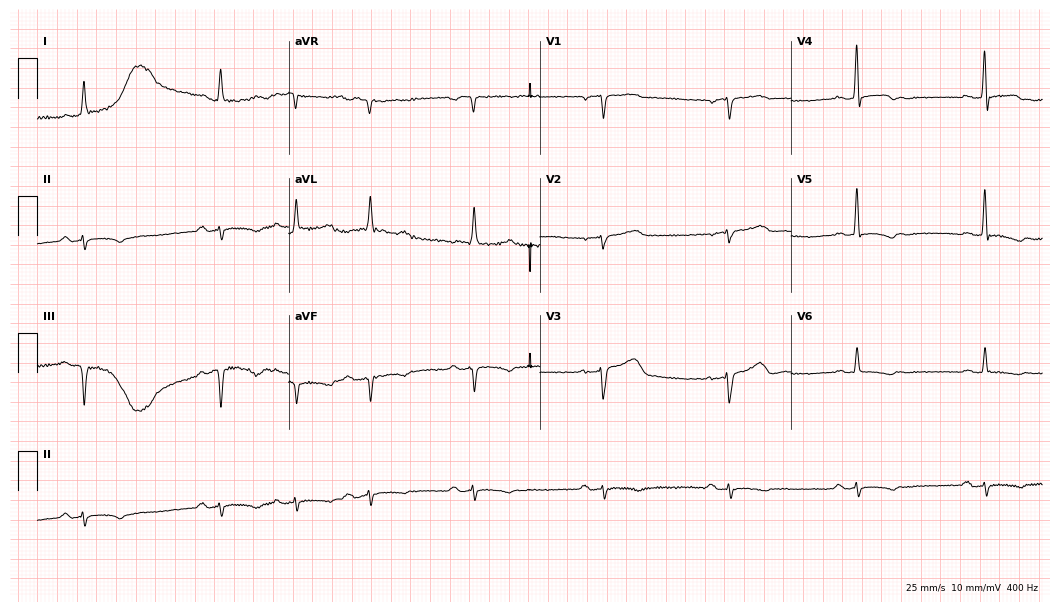
Resting 12-lead electrocardiogram (10.2-second recording at 400 Hz). Patient: a 70-year-old female. None of these six findings is recorded: first-degree AV block, right bundle branch block, left bundle branch block, sinus bradycardia, atrial fibrillation, sinus tachycardia.